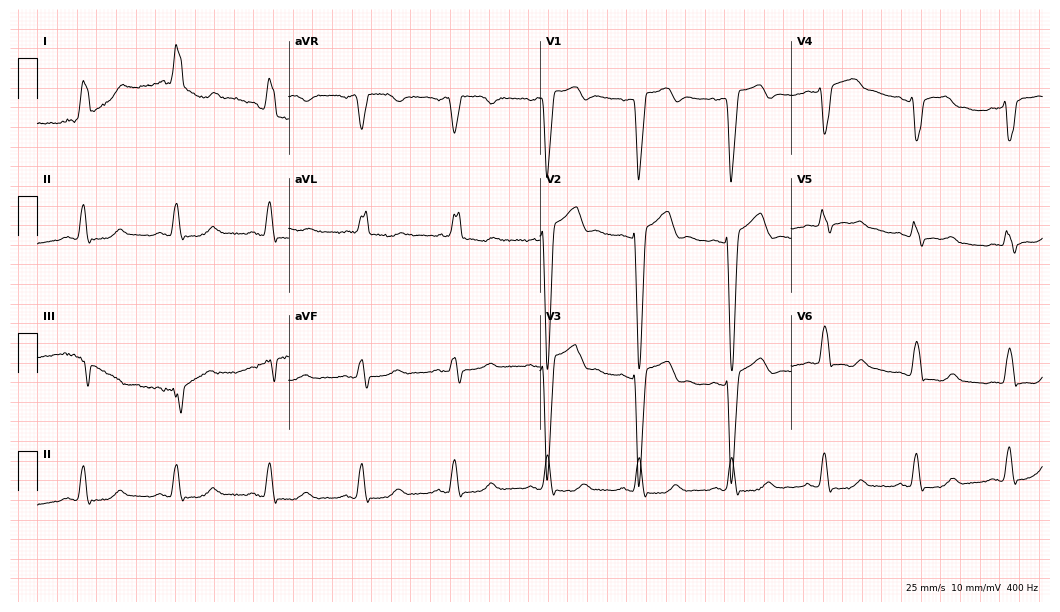
ECG (10.2-second recording at 400 Hz) — a man, 83 years old. Findings include left bundle branch block.